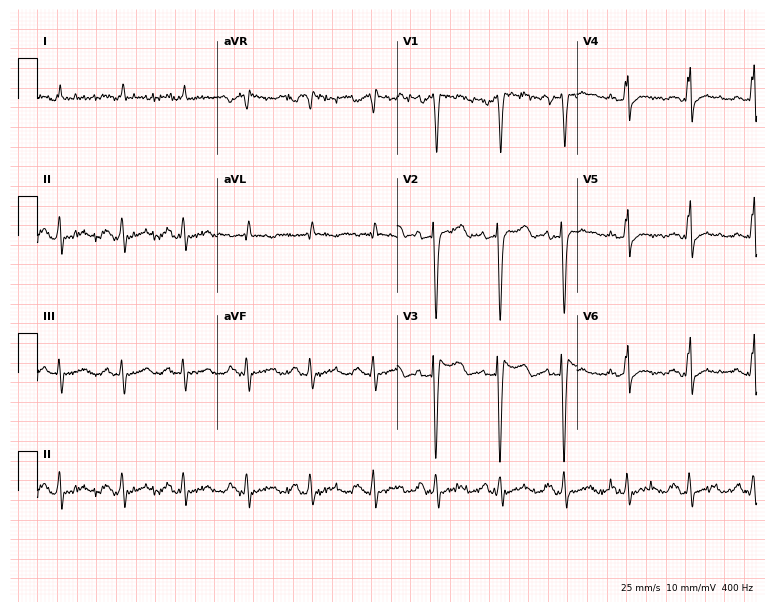
Electrocardiogram, a male patient, 51 years old. Of the six screened findings (first-degree AV block, right bundle branch block (RBBB), left bundle branch block (LBBB), sinus bradycardia, atrial fibrillation (AF), sinus tachycardia), none is recorded. Only these six findings were labelled.